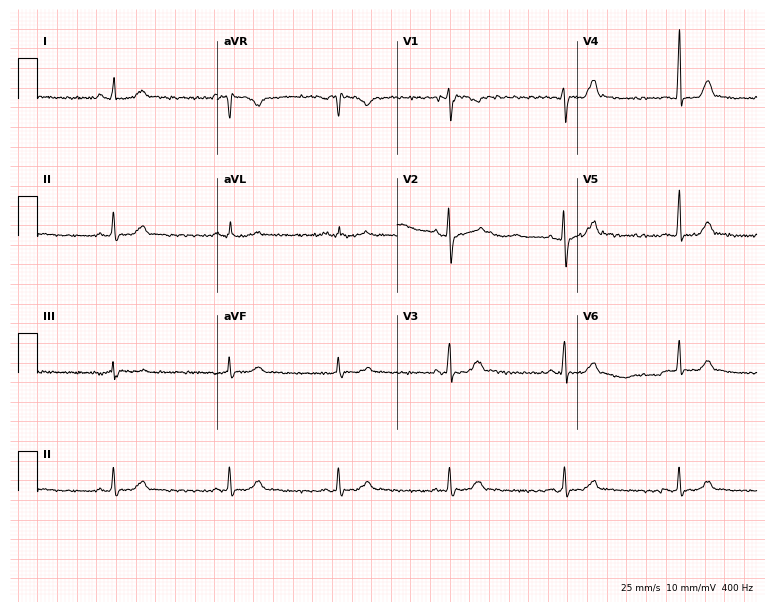
Electrocardiogram (7.3-second recording at 400 Hz), a 22-year-old female. Of the six screened findings (first-degree AV block, right bundle branch block, left bundle branch block, sinus bradycardia, atrial fibrillation, sinus tachycardia), none is recorded. Other findings, if any, are not listed.